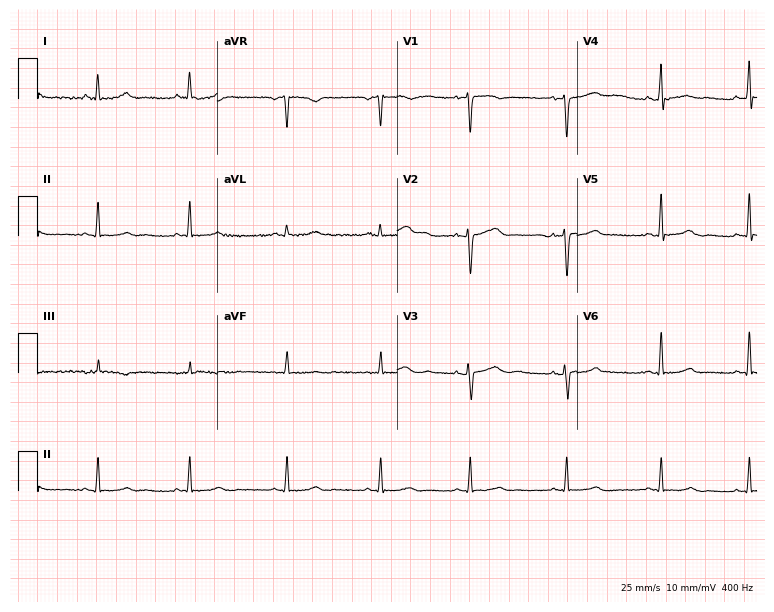
Electrocardiogram (7.3-second recording at 400 Hz), a female patient, 35 years old. Of the six screened findings (first-degree AV block, right bundle branch block, left bundle branch block, sinus bradycardia, atrial fibrillation, sinus tachycardia), none is recorded. Only these six findings were labelled.